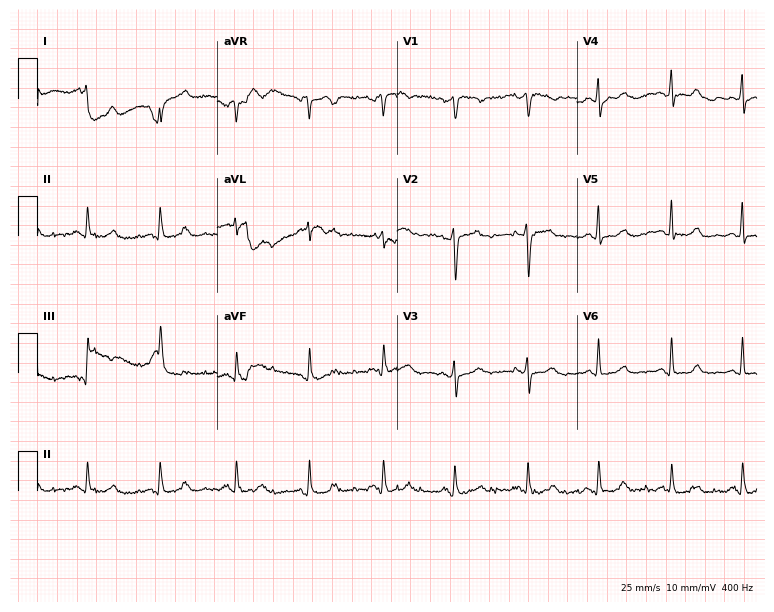
Electrocardiogram (7.3-second recording at 400 Hz), a 69-year-old female patient. Overall reading on record: normal ECG.